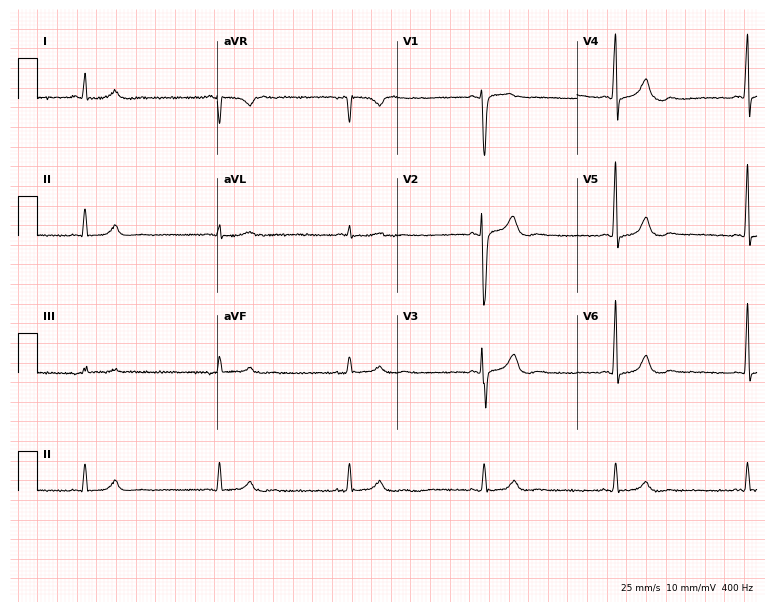
ECG — a 63-year-old male patient. Findings include sinus bradycardia (a sinus rate of 50 beats per minute or less).